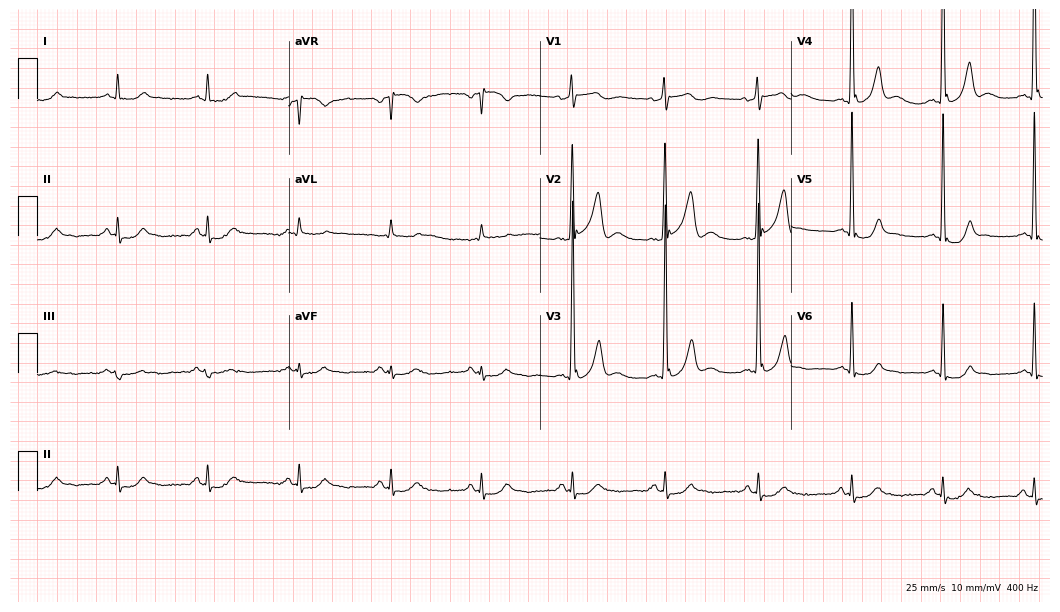
Resting 12-lead electrocardiogram (10.2-second recording at 400 Hz). Patient: a man, 58 years old. None of these six findings is recorded: first-degree AV block, right bundle branch block, left bundle branch block, sinus bradycardia, atrial fibrillation, sinus tachycardia.